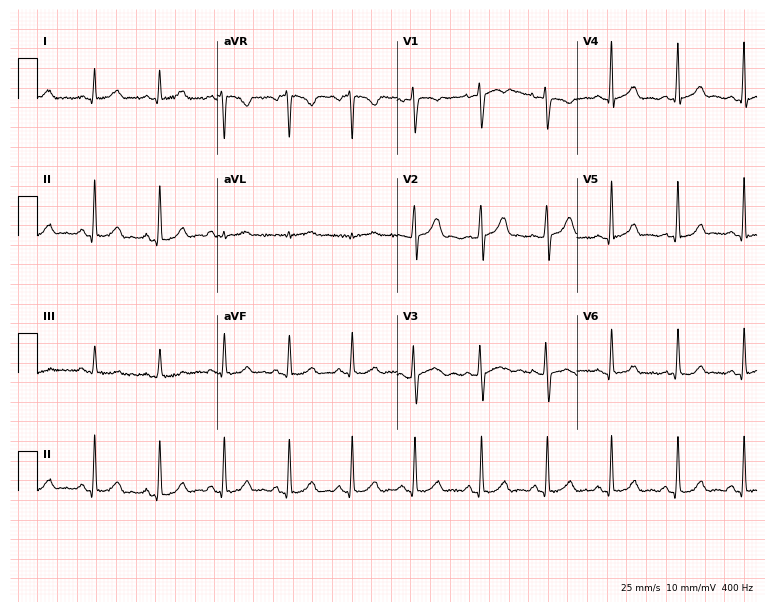
Resting 12-lead electrocardiogram (7.3-second recording at 400 Hz). Patient: a female, 21 years old. Read as a normal ECG.